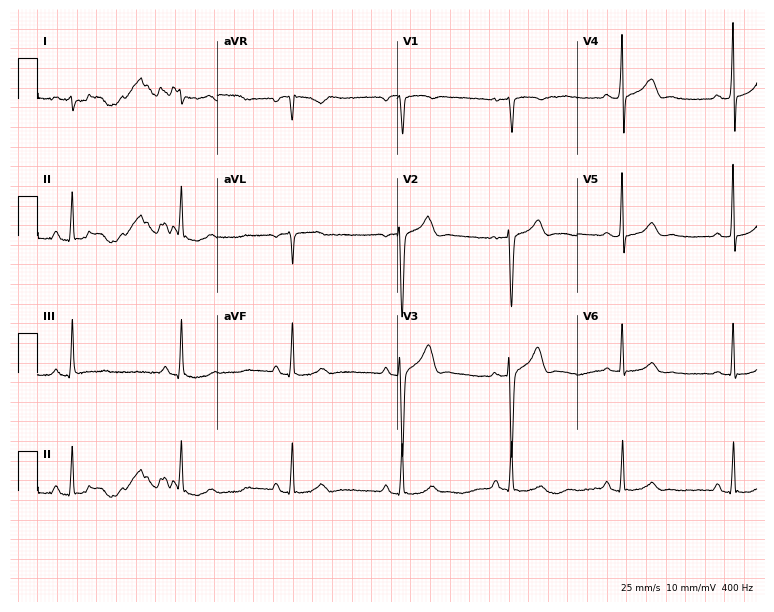
12-lead ECG (7.3-second recording at 400 Hz) from a male patient, 26 years old. Labelled as a normal ECG.